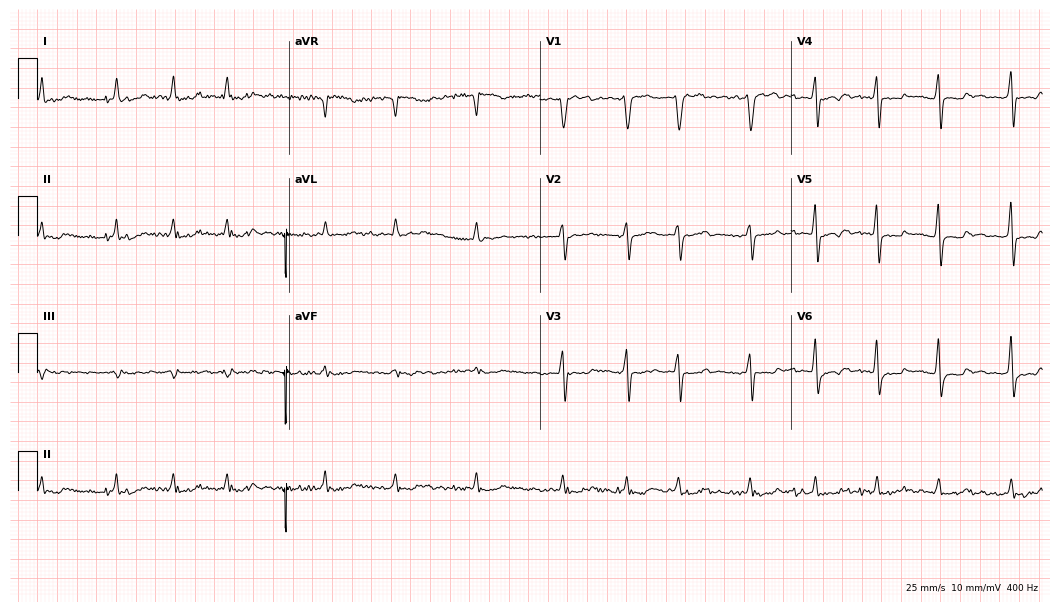
Standard 12-lead ECG recorded from a 55-year-old man (10.2-second recording at 400 Hz). The tracing shows atrial fibrillation (AF).